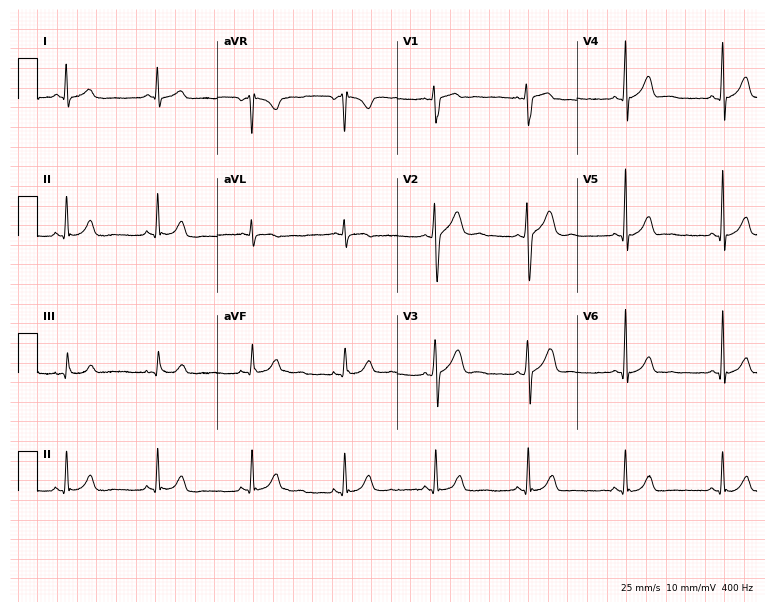
Standard 12-lead ECG recorded from a male, 31 years old. Read as a normal ECG.